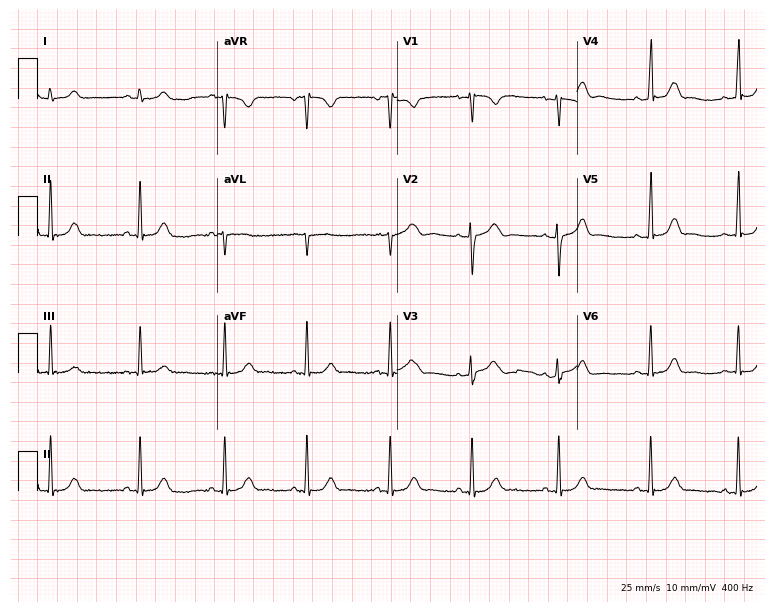
Standard 12-lead ECG recorded from an 18-year-old woman. None of these six findings is recorded: first-degree AV block, right bundle branch block, left bundle branch block, sinus bradycardia, atrial fibrillation, sinus tachycardia. Other findings, if any, are not listed.